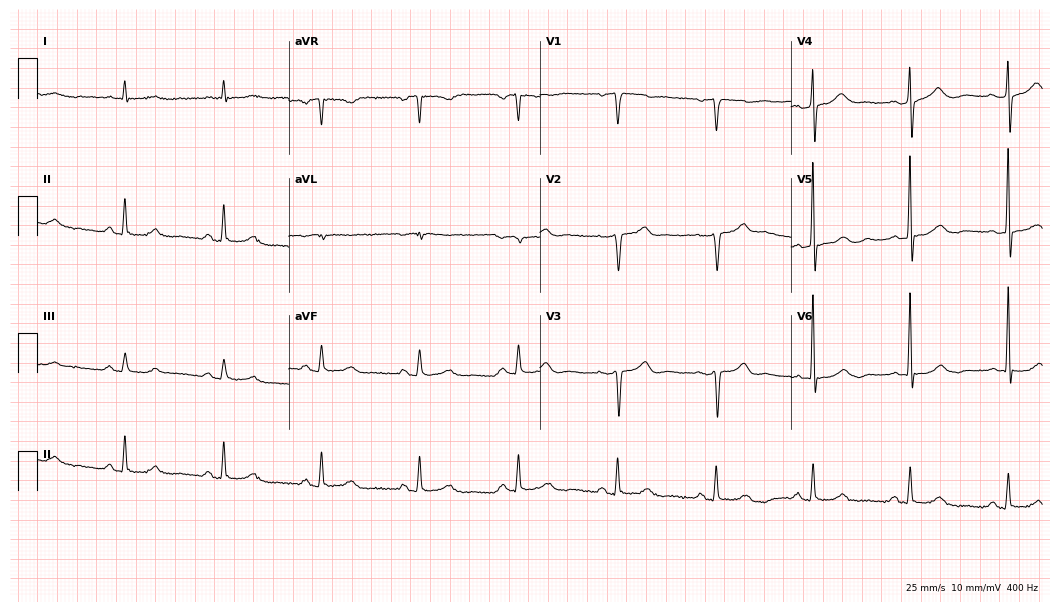
12-lead ECG from a 68-year-old male (10.2-second recording at 400 Hz). No first-degree AV block, right bundle branch block (RBBB), left bundle branch block (LBBB), sinus bradycardia, atrial fibrillation (AF) or sinus tachycardia recorded for this tracing. Only these six findings were labelled.